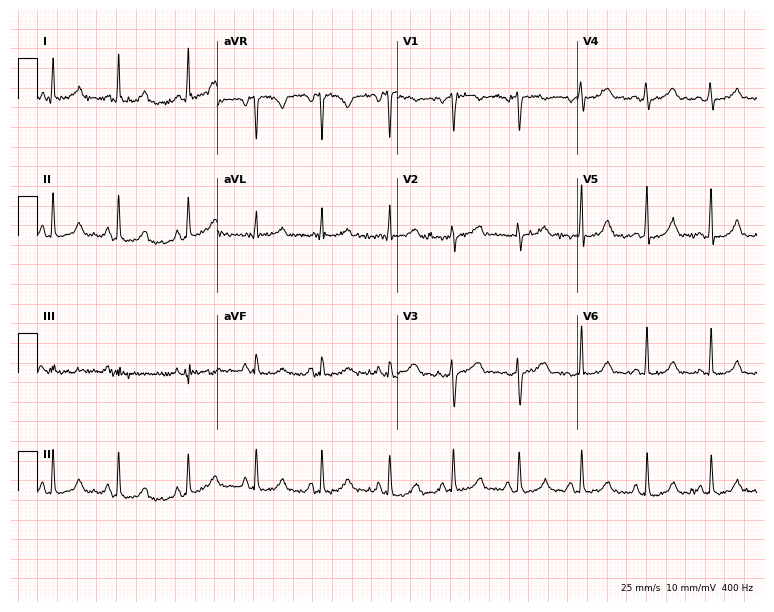
12-lead ECG from a 39-year-old woman. Recorded interpretation: within normal limits.